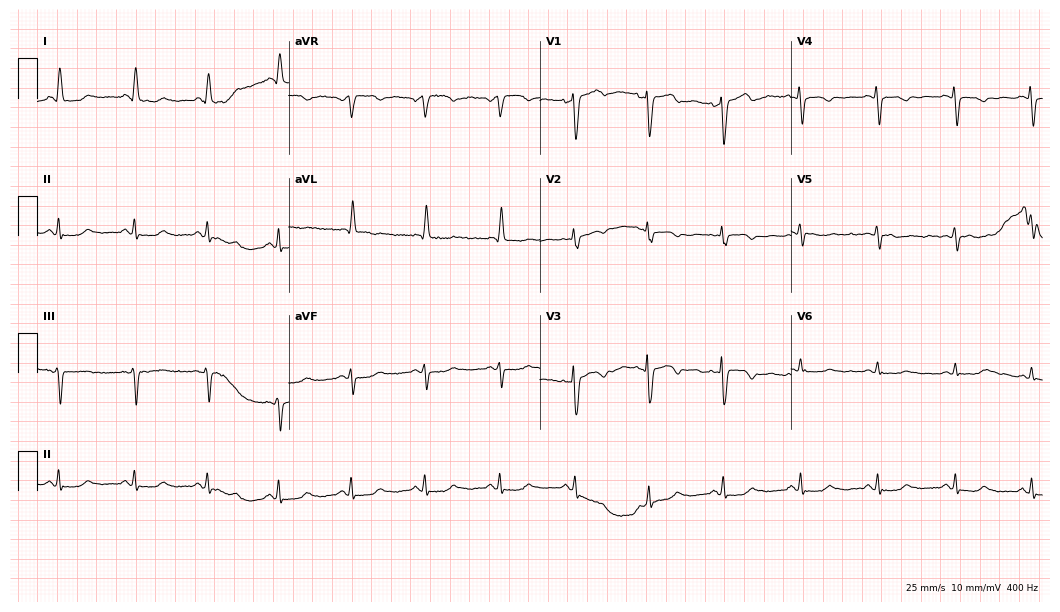
ECG — a 52-year-old female patient. Screened for six findings — first-degree AV block, right bundle branch block, left bundle branch block, sinus bradycardia, atrial fibrillation, sinus tachycardia — none is recorded. Only these six findings were labelled.